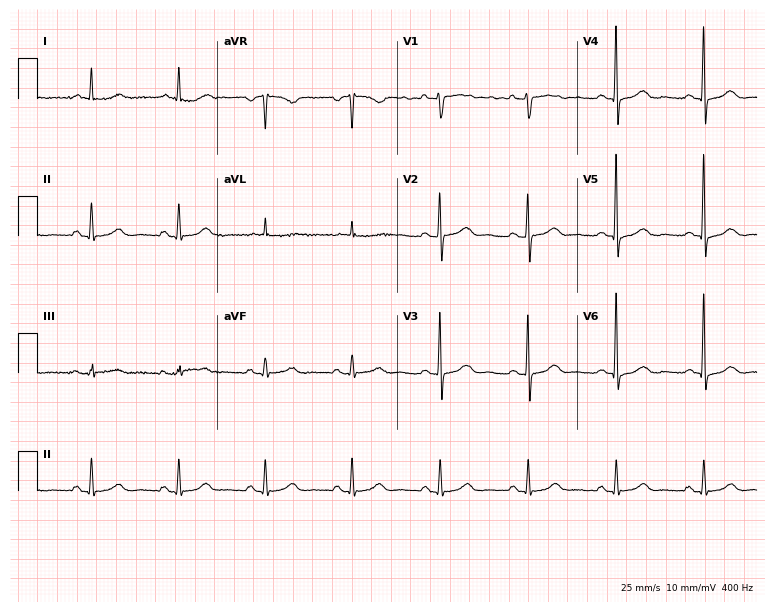
Standard 12-lead ECG recorded from a male, 68 years old (7.3-second recording at 400 Hz). Read as a normal ECG.